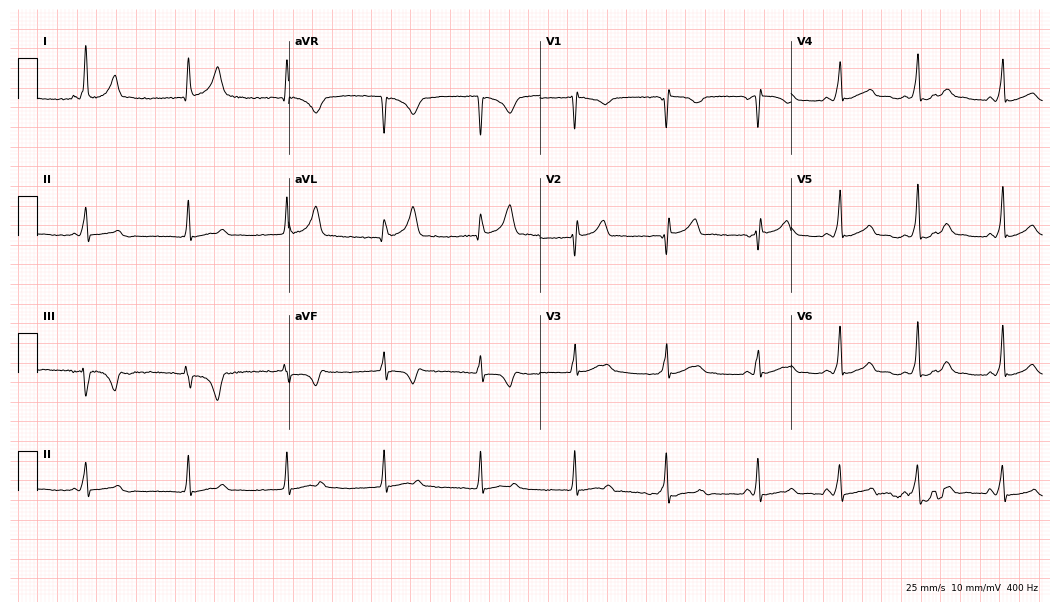
12-lead ECG from a 17-year-old female patient (10.2-second recording at 400 Hz). No first-degree AV block, right bundle branch block (RBBB), left bundle branch block (LBBB), sinus bradycardia, atrial fibrillation (AF) or sinus tachycardia recorded for this tracing.